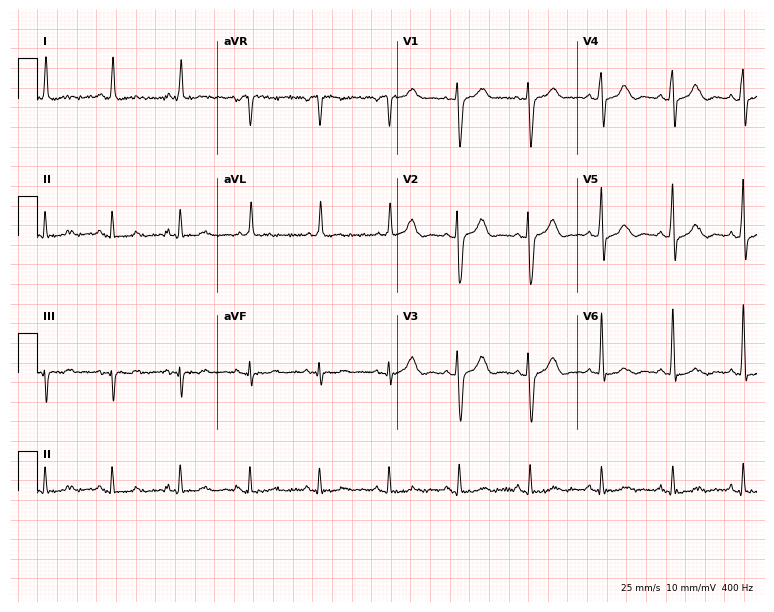
ECG (7.3-second recording at 400 Hz) — a female, 79 years old. Labelled as a normal ECG.